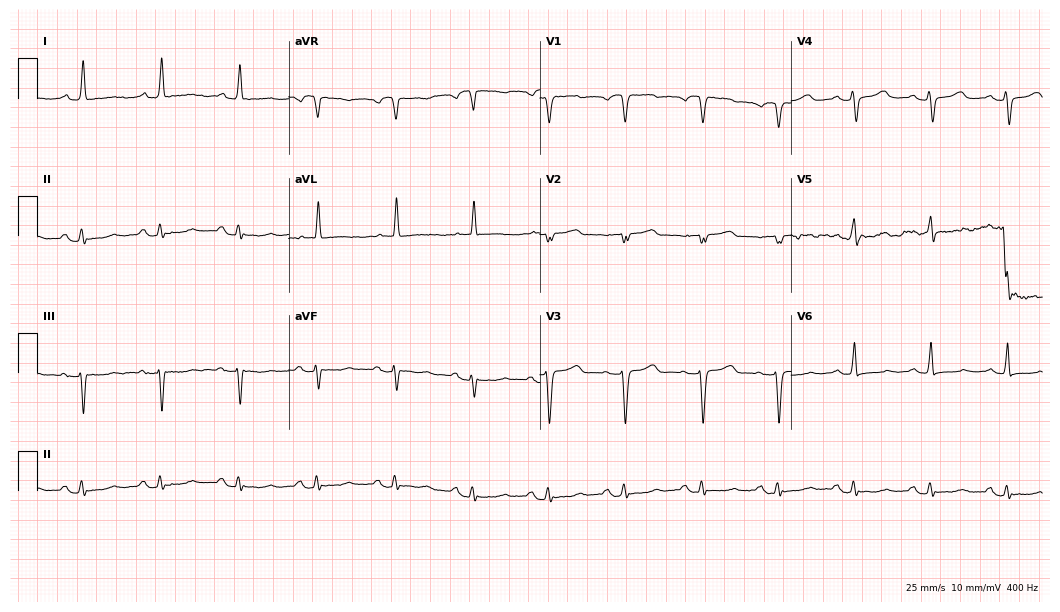
12-lead ECG from a female patient, 61 years old (10.2-second recording at 400 Hz). No first-degree AV block, right bundle branch block, left bundle branch block, sinus bradycardia, atrial fibrillation or sinus tachycardia recorded for this tracing. Only these six findings were labelled.